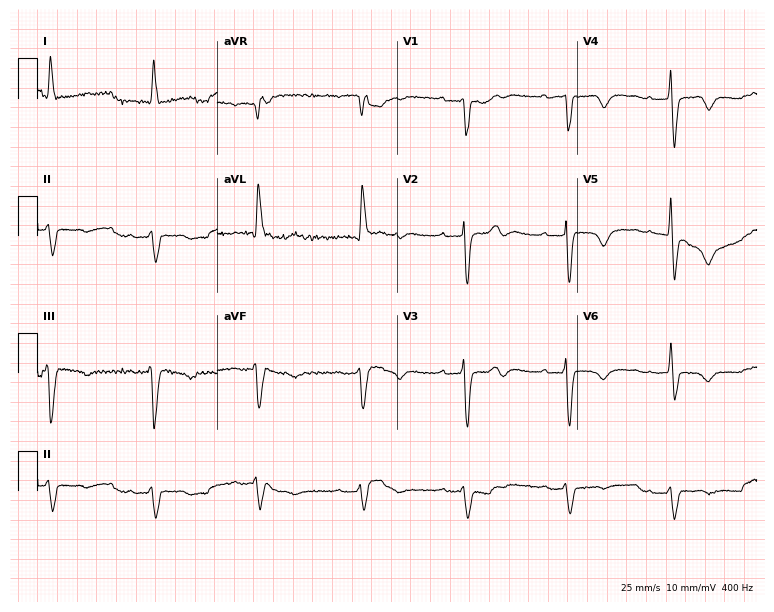
12-lead ECG from an 83-year-old man (7.3-second recording at 400 Hz). Shows first-degree AV block, left bundle branch block.